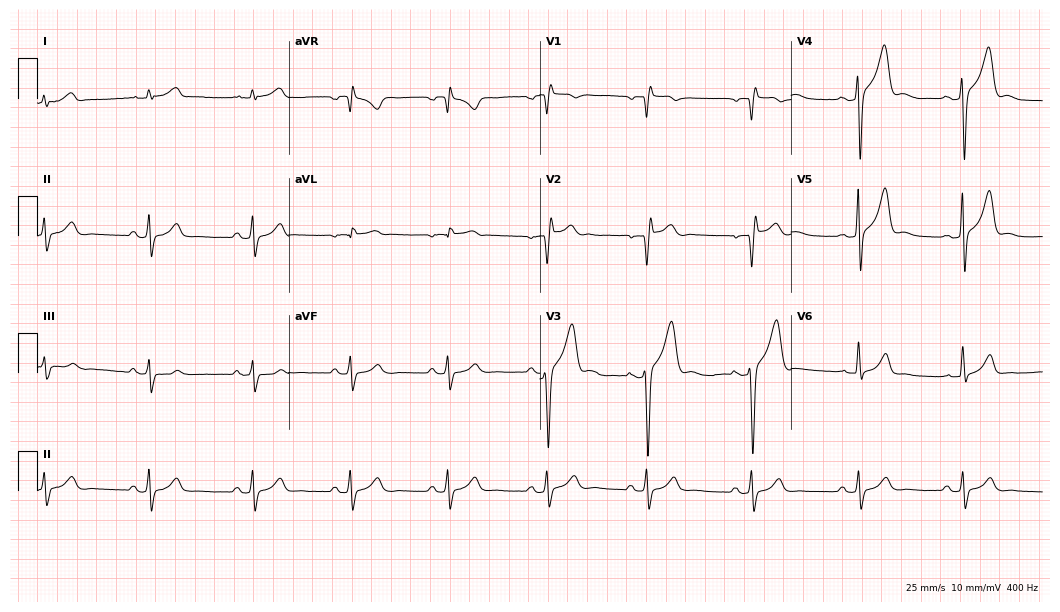
12-lead ECG from a 41-year-old male patient (10.2-second recording at 400 Hz). No first-degree AV block, right bundle branch block, left bundle branch block, sinus bradycardia, atrial fibrillation or sinus tachycardia recorded for this tracing.